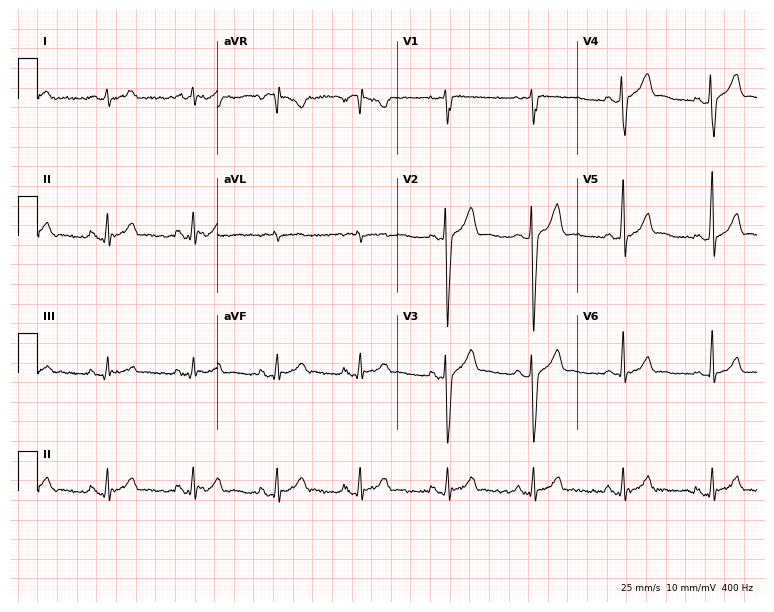
12-lead ECG (7.3-second recording at 400 Hz) from a 38-year-old male. Labelled as a normal ECG.